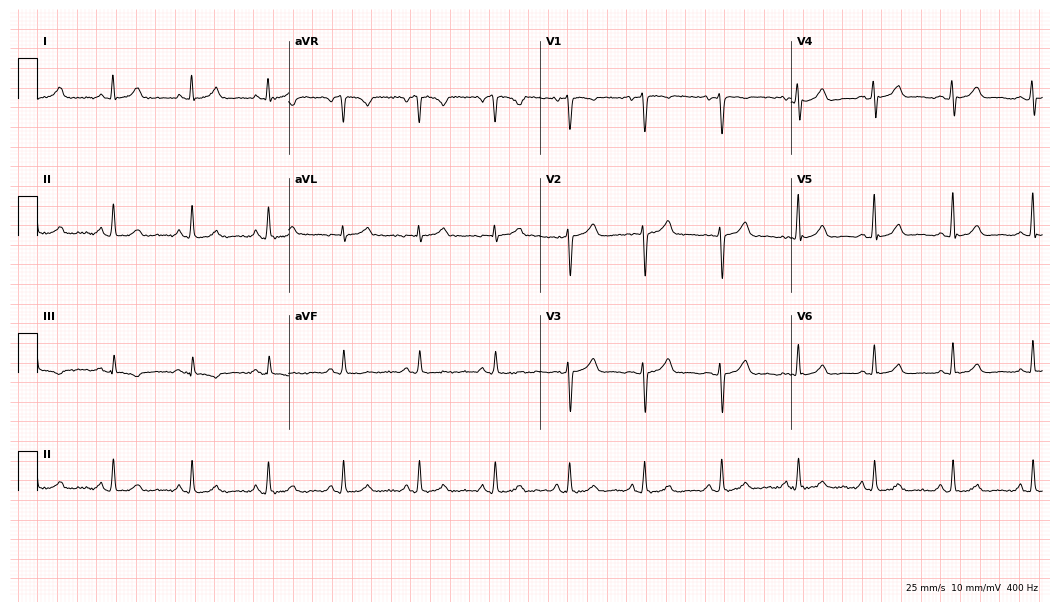
12-lead ECG from a female patient, 53 years old. Labelled as a normal ECG.